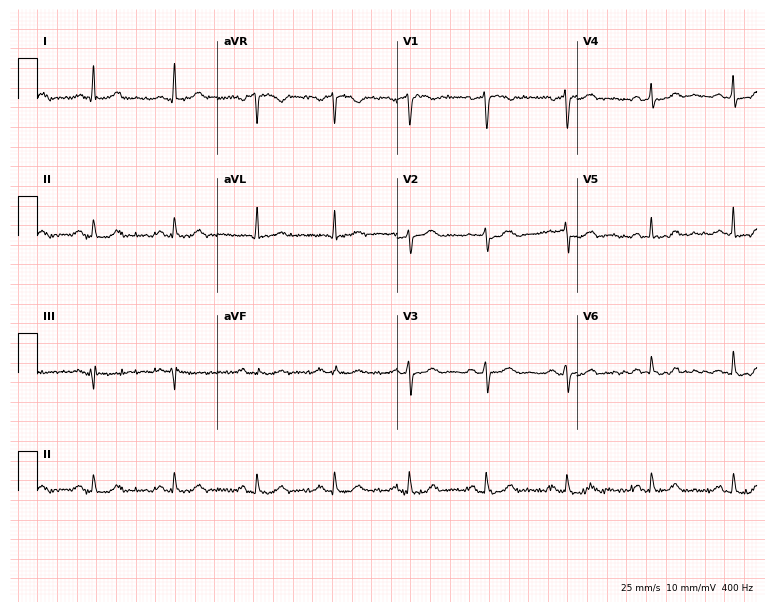
Electrocardiogram, a female, 51 years old. Overall reading on record: normal ECG.